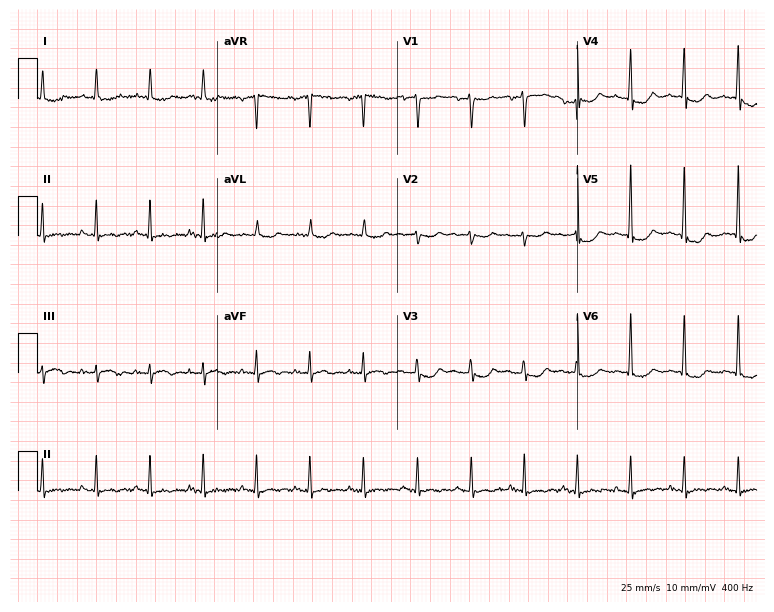
ECG (7.3-second recording at 400 Hz) — a woman, 77 years old. Findings include sinus tachycardia (a sinus rate of 100 beats per minute or more).